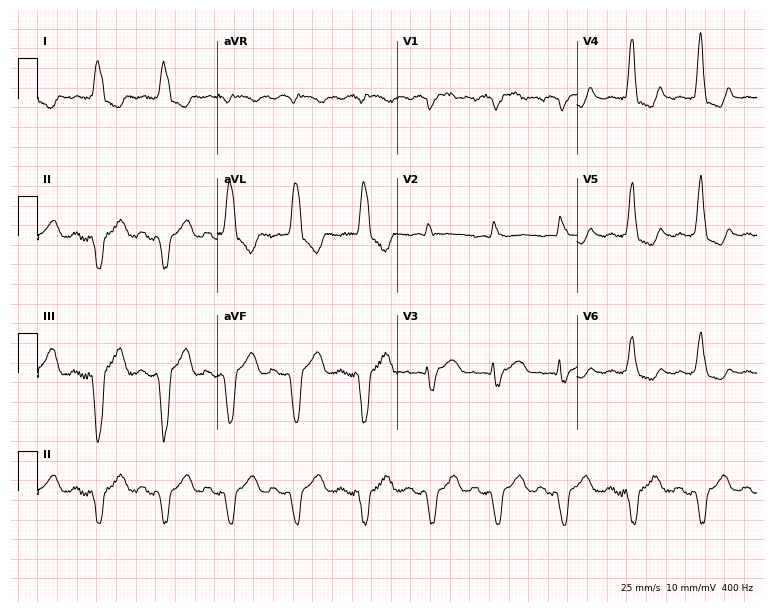
Standard 12-lead ECG recorded from a 76-year-old female patient. The tracing shows left bundle branch block.